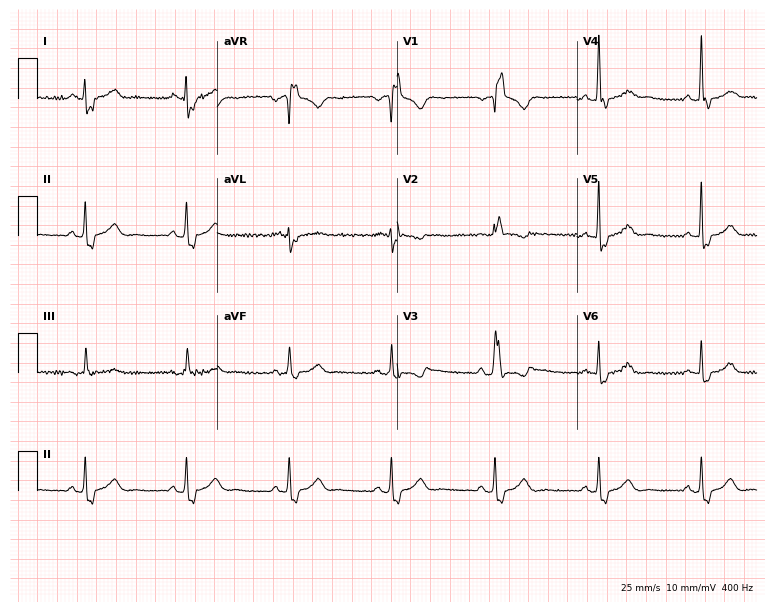
12-lead ECG from a male patient, 68 years old. Findings include right bundle branch block.